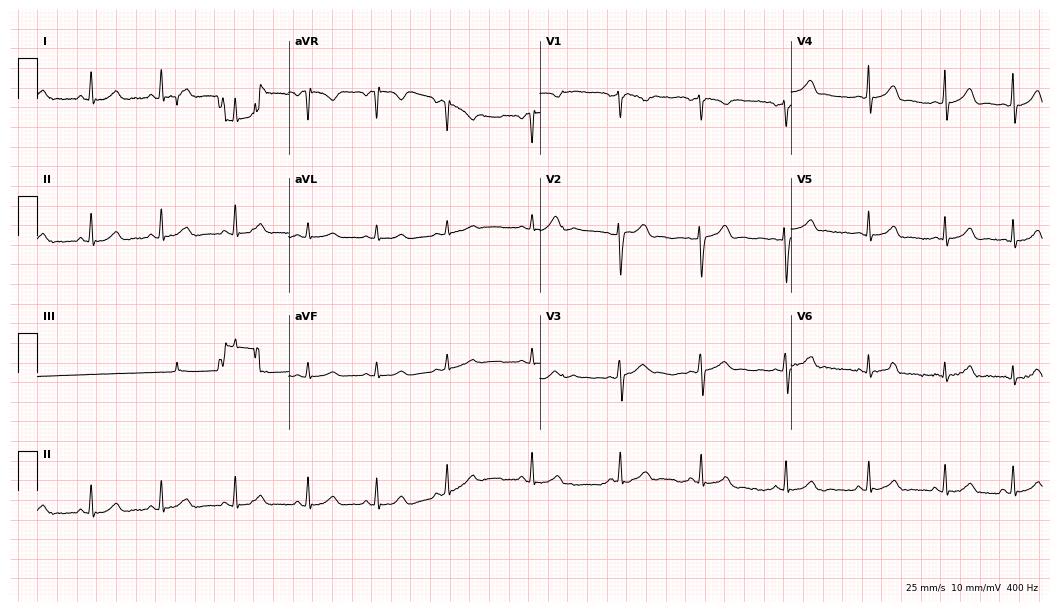
12-lead ECG from a 20-year-old female. No first-degree AV block, right bundle branch block (RBBB), left bundle branch block (LBBB), sinus bradycardia, atrial fibrillation (AF) or sinus tachycardia recorded for this tracing. Only these six findings were labelled.